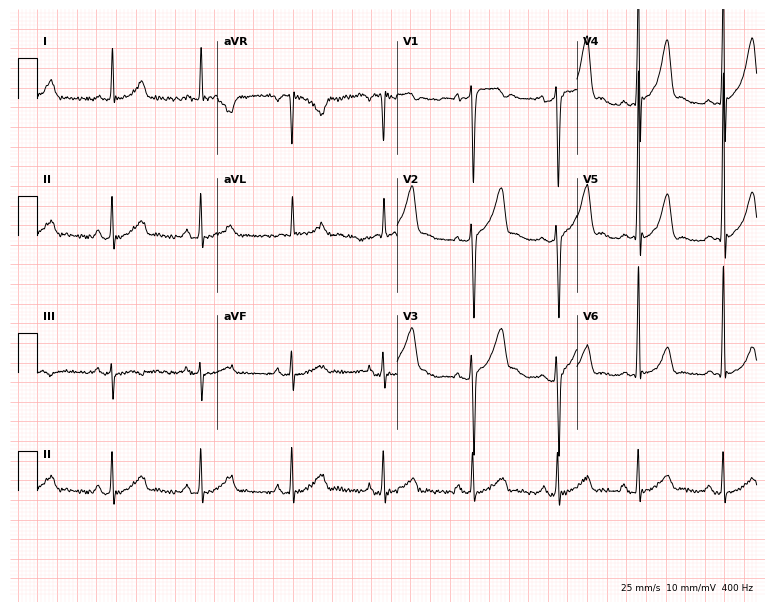
12-lead ECG (7.3-second recording at 400 Hz) from a 50-year-old man. Labelled as a normal ECG.